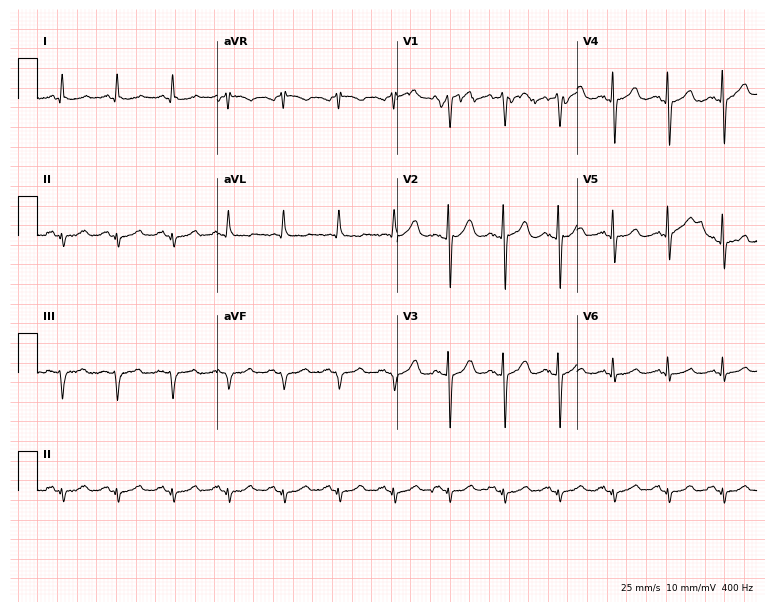
12-lead ECG (7.3-second recording at 400 Hz) from a male, 74 years old. Screened for six findings — first-degree AV block, right bundle branch block, left bundle branch block, sinus bradycardia, atrial fibrillation, sinus tachycardia — none is recorded.